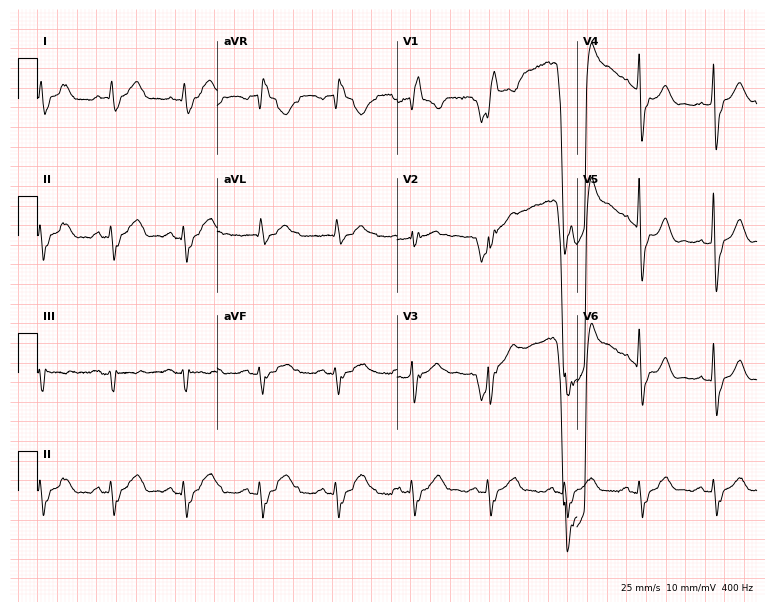
Resting 12-lead electrocardiogram. Patient: a 65-year-old male. The tracing shows right bundle branch block (RBBB).